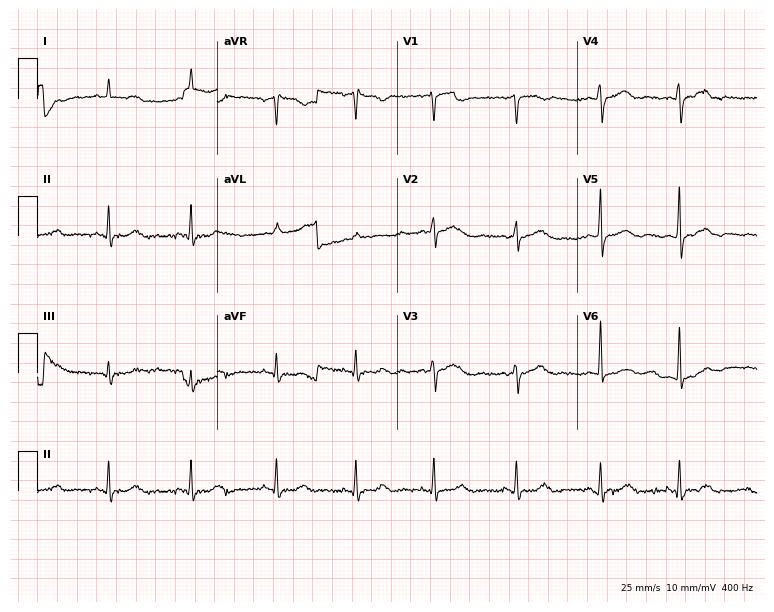
12-lead ECG from a woman, 50 years old. Screened for six findings — first-degree AV block, right bundle branch block, left bundle branch block, sinus bradycardia, atrial fibrillation, sinus tachycardia — none is recorded. Only these six findings were labelled.